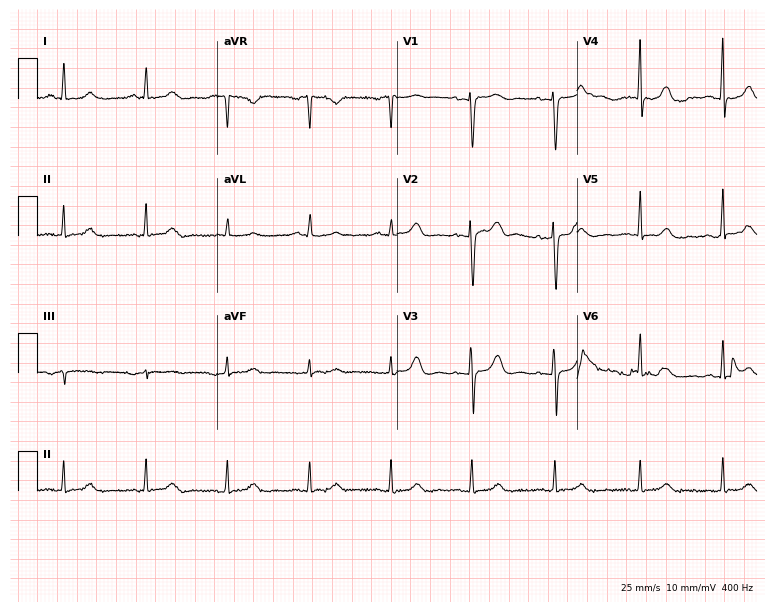
Resting 12-lead electrocardiogram. Patient: a woman, 57 years old. None of these six findings is recorded: first-degree AV block, right bundle branch block, left bundle branch block, sinus bradycardia, atrial fibrillation, sinus tachycardia.